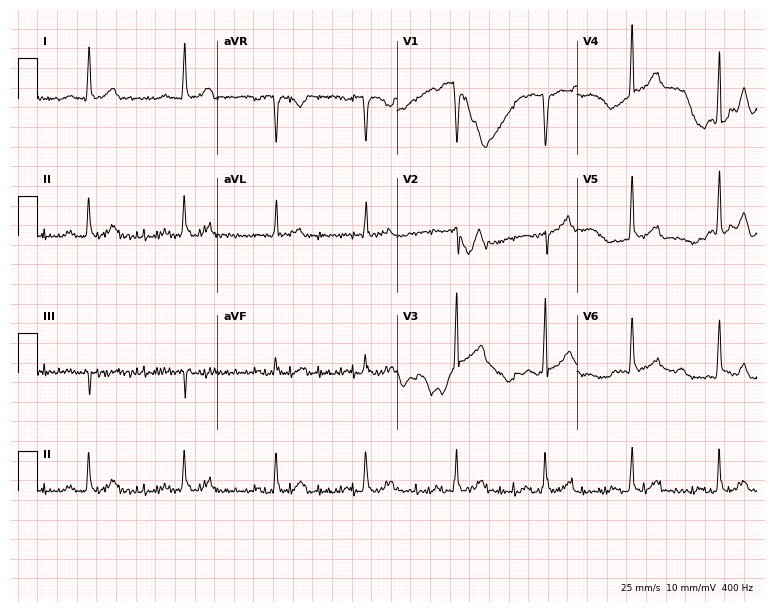
ECG (7.3-second recording at 400 Hz) — a 59-year-old male. Screened for six findings — first-degree AV block, right bundle branch block, left bundle branch block, sinus bradycardia, atrial fibrillation, sinus tachycardia — none is recorded.